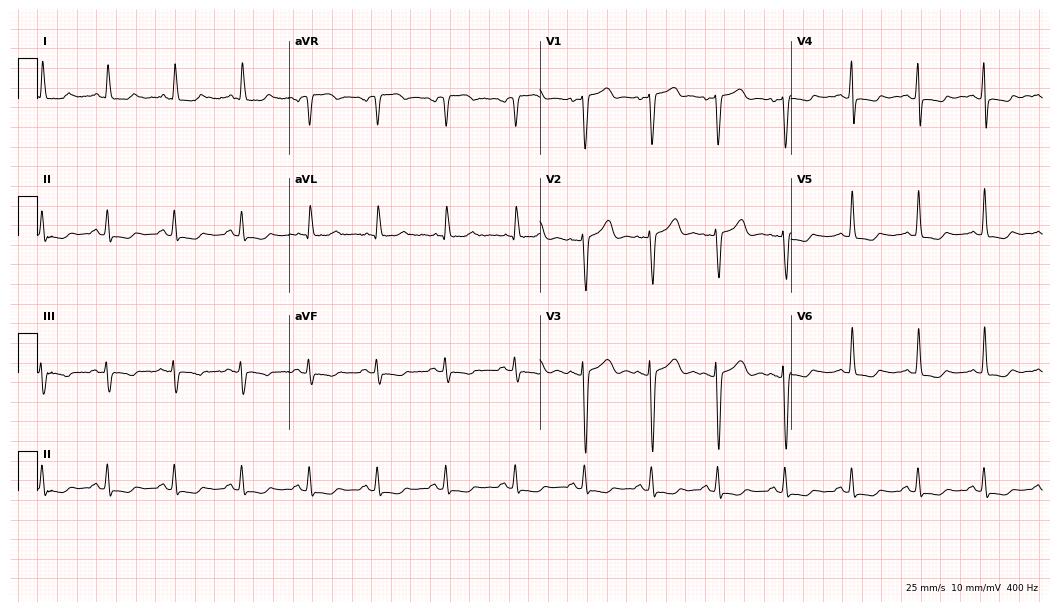
12-lead ECG (10.2-second recording at 400 Hz) from a female patient, 54 years old. Screened for six findings — first-degree AV block, right bundle branch block (RBBB), left bundle branch block (LBBB), sinus bradycardia, atrial fibrillation (AF), sinus tachycardia — none is recorded.